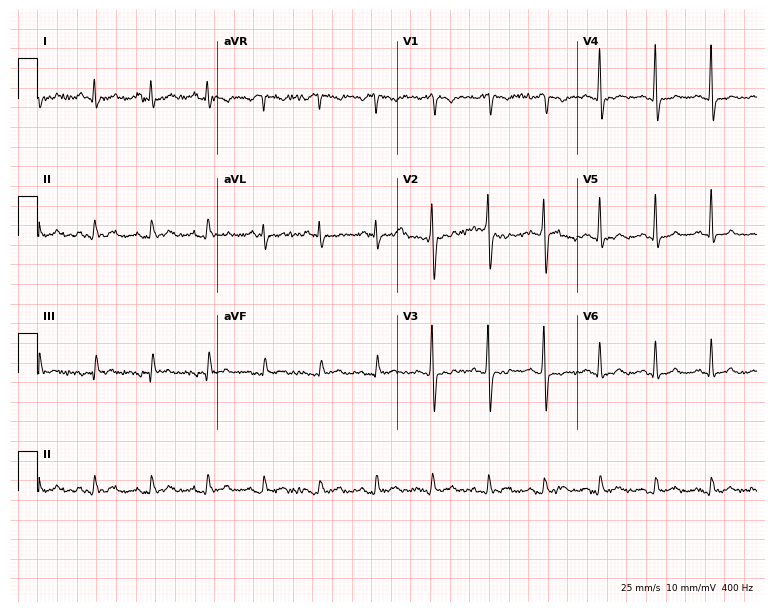
12-lead ECG from a 46-year-old male. Shows sinus tachycardia (a sinus rate of 100 beats per minute or more).